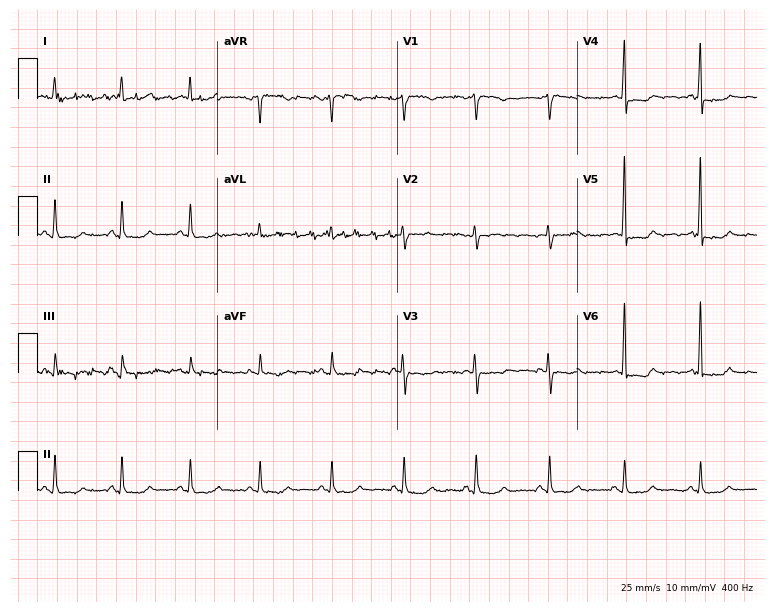
Resting 12-lead electrocardiogram (7.3-second recording at 400 Hz). Patient: a 68-year-old female. None of these six findings is recorded: first-degree AV block, right bundle branch block, left bundle branch block, sinus bradycardia, atrial fibrillation, sinus tachycardia. Other findings, if any, are not listed.